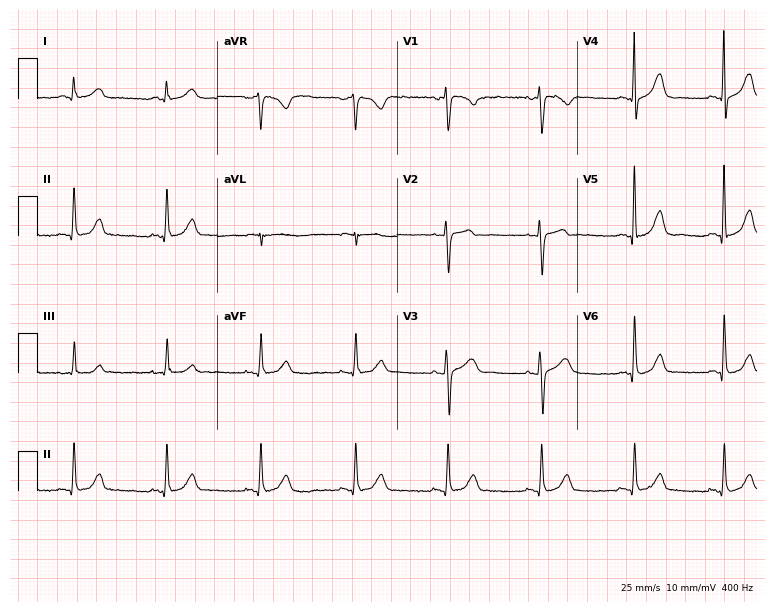
Standard 12-lead ECG recorded from a 43-year-old female patient (7.3-second recording at 400 Hz). Read as a normal ECG.